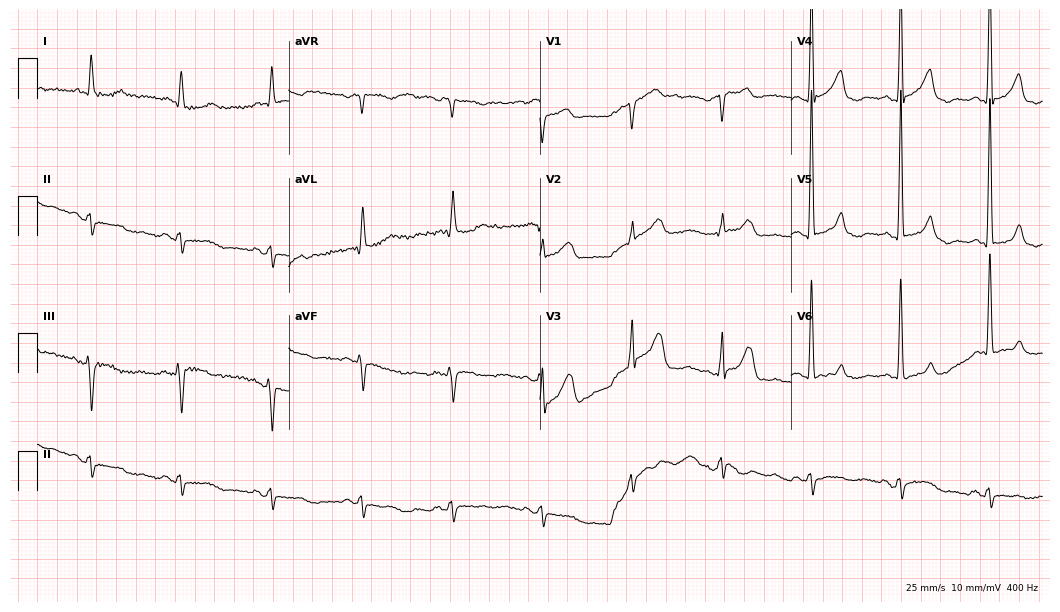
Resting 12-lead electrocardiogram (10.2-second recording at 400 Hz). Patient: a male, 84 years old. None of these six findings is recorded: first-degree AV block, right bundle branch block, left bundle branch block, sinus bradycardia, atrial fibrillation, sinus tachycardia.